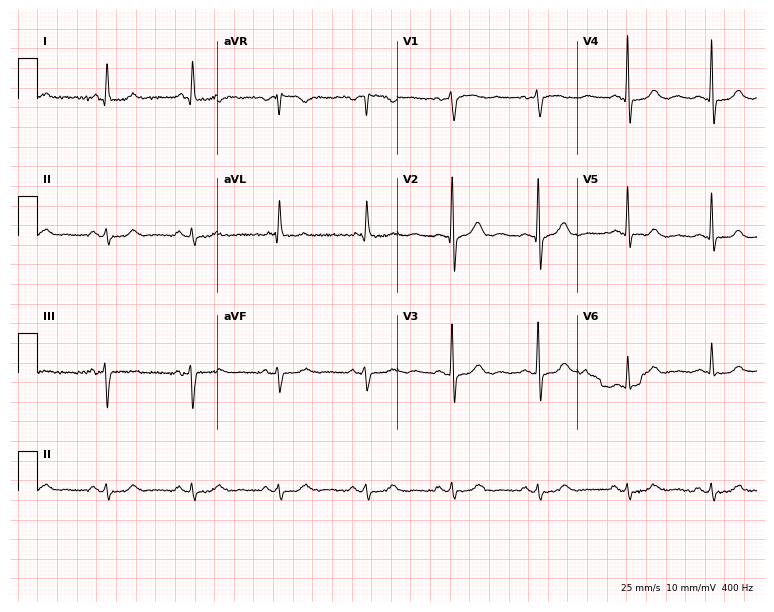
Resting 12-lead electrocardiogram (7.3-second recording at 400 Hz). Patient: a male, 78 years old. None of these six findings is recorded: first-degree AV block, right bundle branch block (RBBB), left bundle branch block (LBBB), sinus bradycardia, atrial fibrillation (AF), sinus tachycardia.